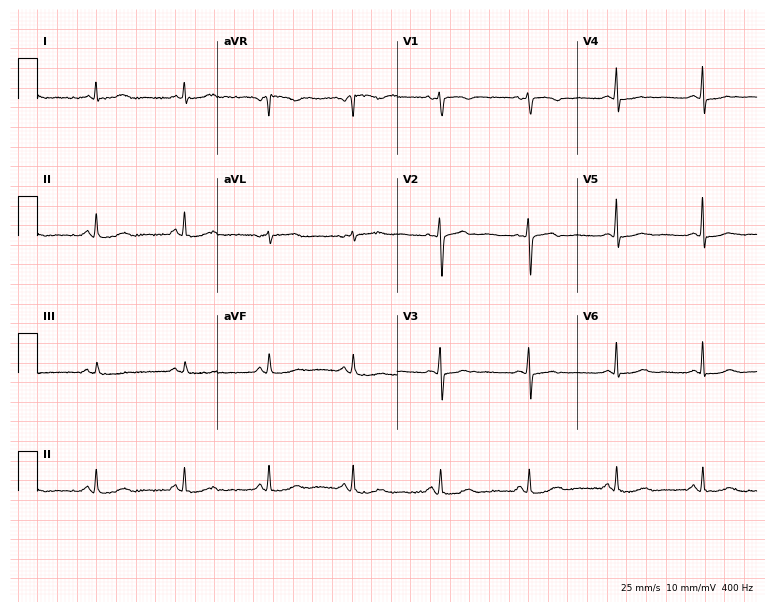
12-lead ECG (7.3-second recording at 400 Hz) from a female, 52 years old. Screened for six findings — first-degree AV block, right bundle branch block, left bundle branch block, sinus bradycardia, atrial fibrillation, sinus tachycardia — none is recorded.